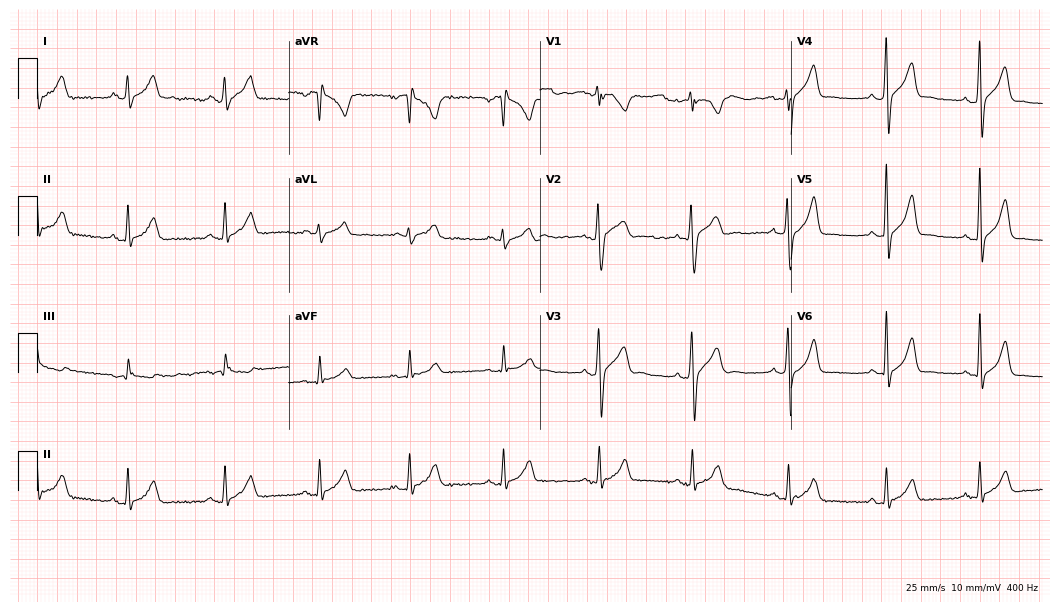
12-lead ECG (10.2-second recording at 400 Hz) from a 31-year-old male. Labelled as a normal ECG.